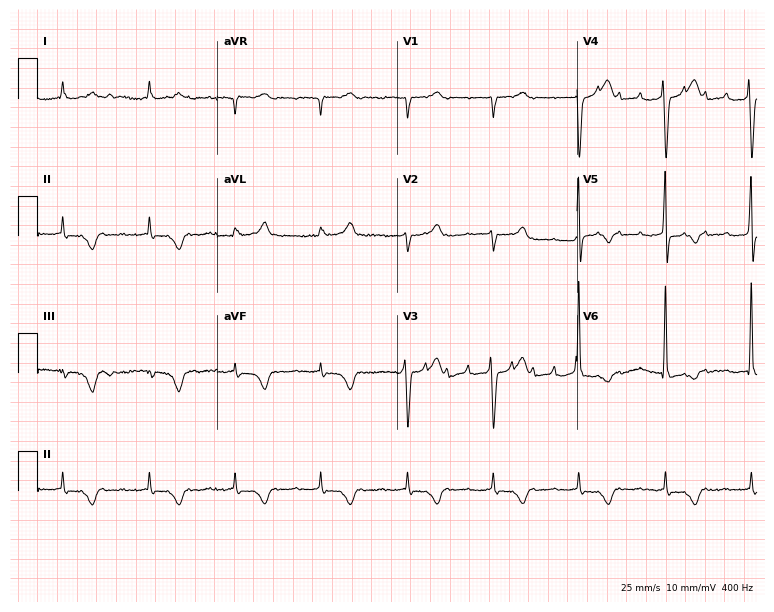
Resting 12-lead electrocardiogram (7.3-second recording at 400 Hz). Patient: a female, 83 years old. None of these six findings is recorded: first-degree AV block, right bundle branch block (RBBB), left bundle branch block (LBBB), sinus bradycardia, atrial fibrillation (AF), sinus tachycardia. Findings outside these six are not listed.